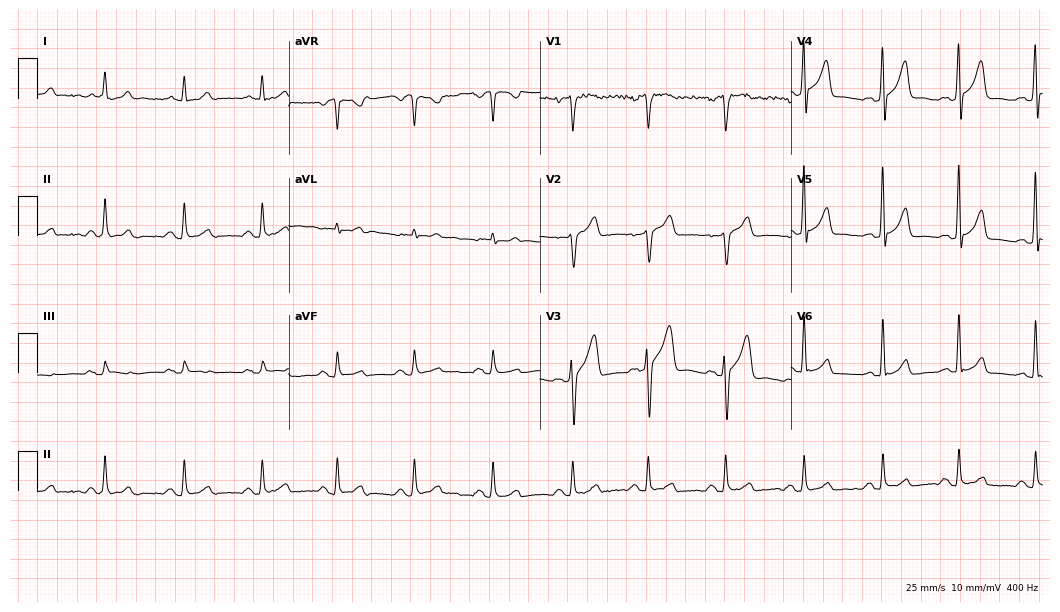
Resting 12-lead electrocardiogram (10.2-second recording at 400 Hz). Patient: a 32-year-old male. None of these six findings is recorded: first-degree AV block, right bundle branch block, left bundle branch block, sinus bradycardia, atrial fibrillation, sinus tachycardia. Findings outside these six are not listed.